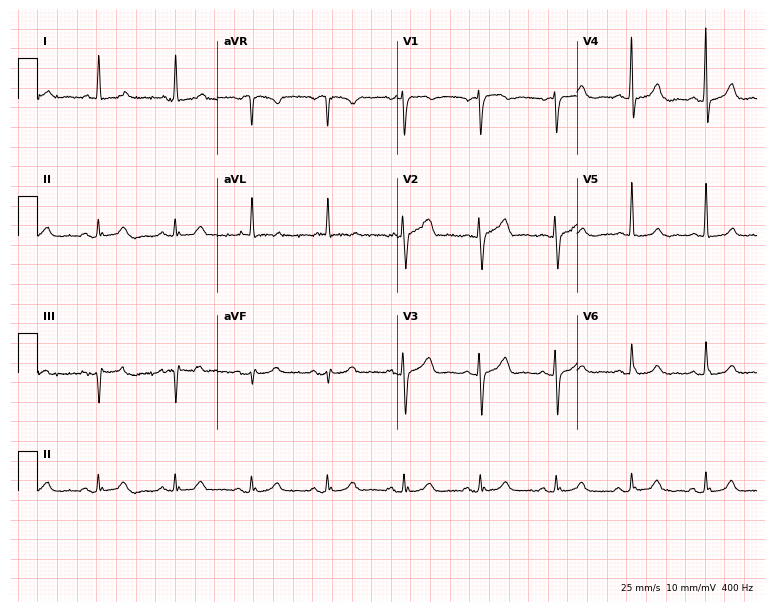
Standard 12-lead ECG recorded from a female, 84 years old. None of these six findings is recorded: first-degree AV block, right bundle branch block, left bundle branch block, sinus bradycardia, atrial fibrillation, sinus tachycardia. Only these six findings were labelled.